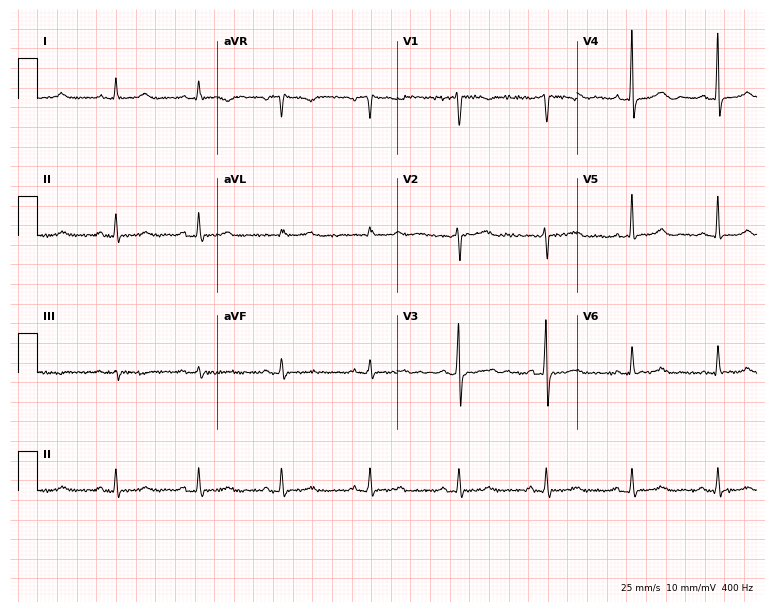
ECG (7.3-second recording at 400 Hz) — a 43-year-old female patient. Screened for six findings — first-degree AV block, right bundle branch block (RBBB), left bundle branch block (LBBB), sinus bradycardia, atrial fibrillation (AF), sinus tachycardia — none is recorded.